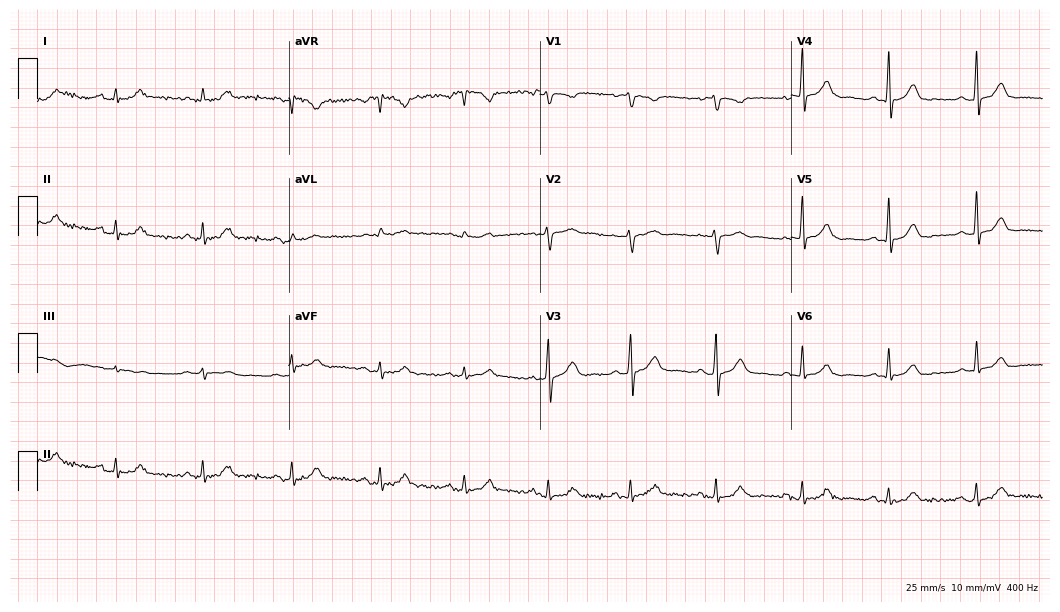
Electrocardiogram (10.2-second recording at 400 Hz), a woman, 46 years old. Overall reading on record: normal ECG.